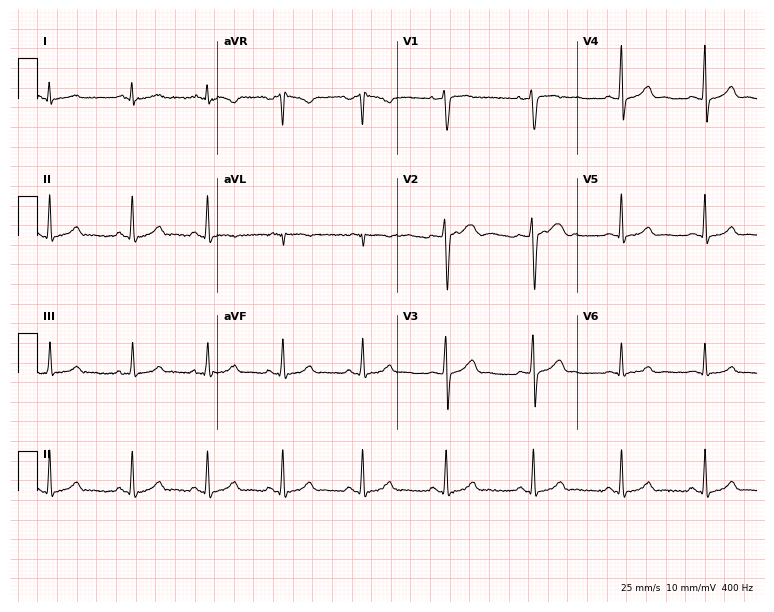
Electrocardiogram, a 25-year-old woman. Of the six screened findings (first-degree AV block, right bundle branch block (RBBB), left bundle branch block (LBBB), sinus bradycardia, atrial fibrillation (AF), sinus tachycardia), none is recorded.